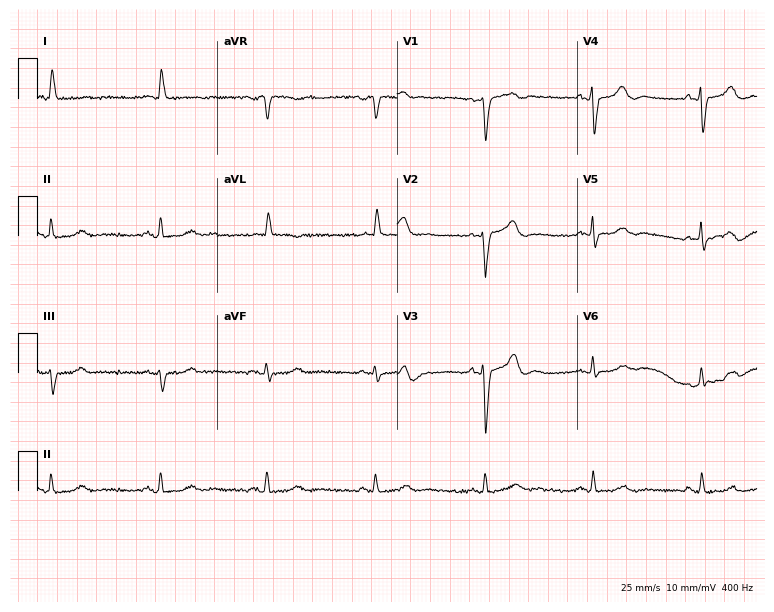
Resting 12-lead electrocardiogram. Patient: a male, 78 years old. None of these six findings is recorded: first-degree AV block, right bundle branch block, left bundle branch block, sinus bradycardia, atrial fibrillation, sinus tachycardia. Only these six findings were labelled.